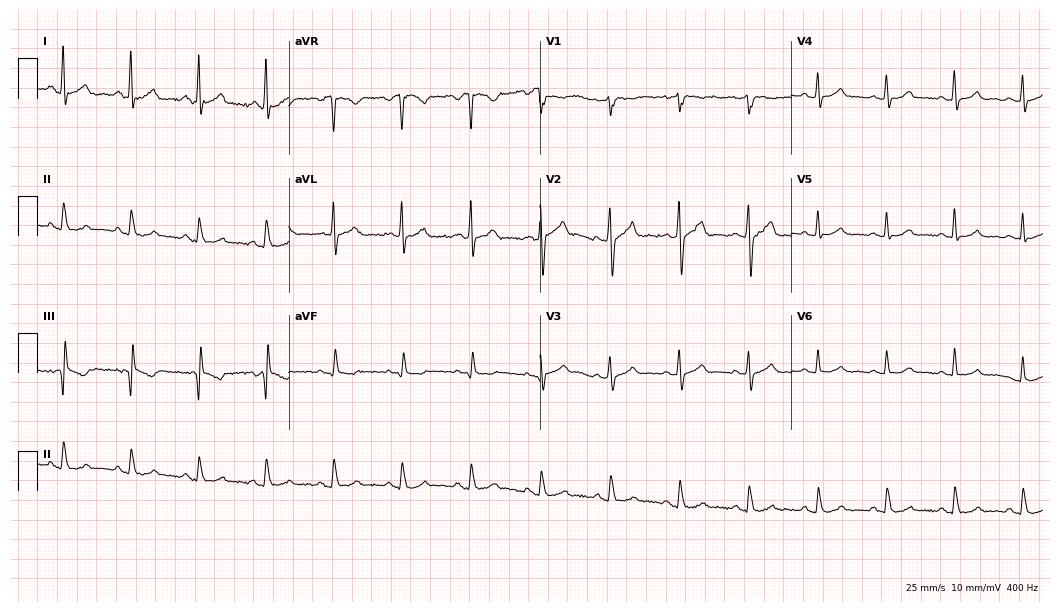
12-lead ECG from a 43-year-old female (10.2-second recording at 400 Hz). Recorded interpretation: within normal limits.